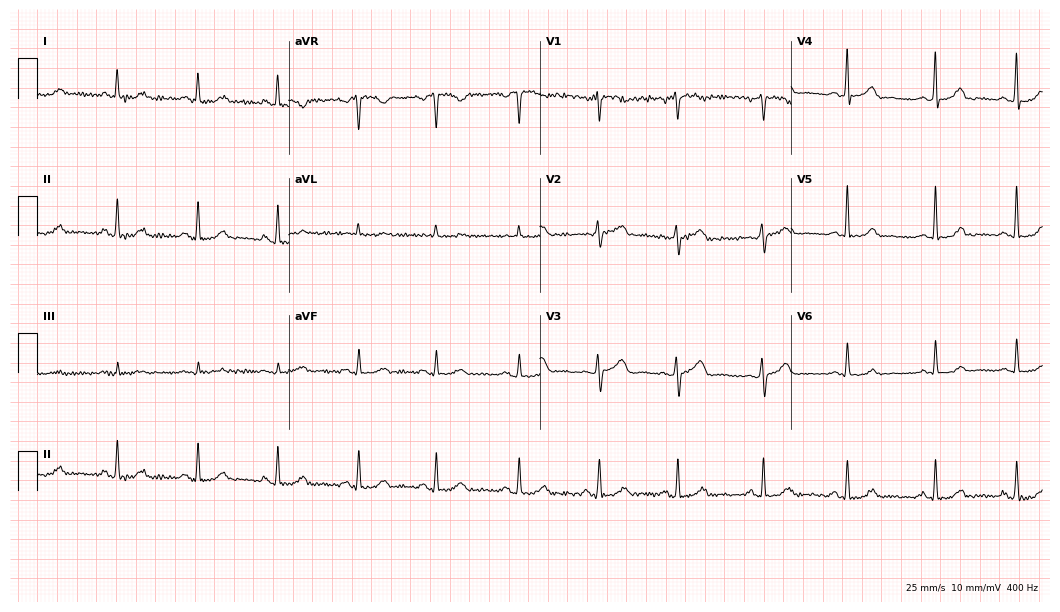
12-lead ECG (10.2-second recording at 400 Hz) from a 51-year-old woman. Screened for six findings — first-degree AV block, right bundle branch block, left bundle branch block, sinus bradycardia, atrial fibrillation, sinus tachycardia — none is recorded. Other findings, if any, are not listed.